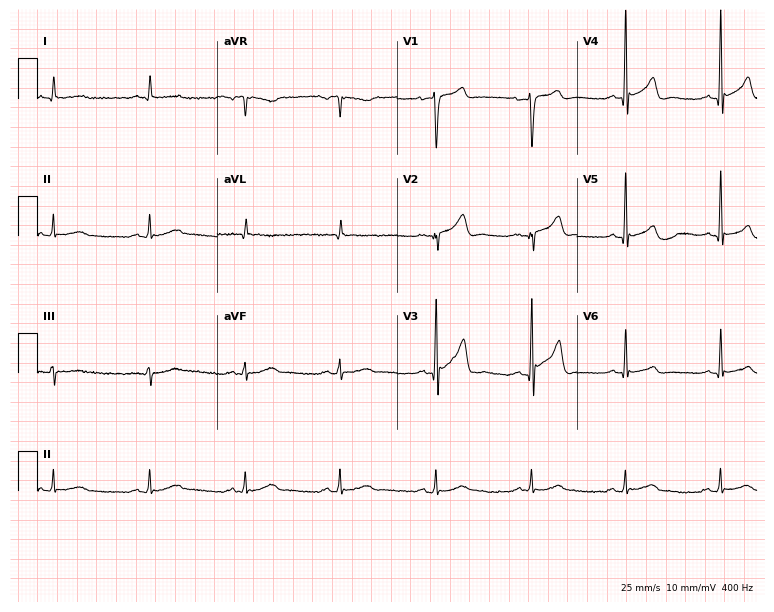
12-lead ECG (7.3-second recording at 400 Hz) from a male, 45 years old. Screened for six findings — first-degree AV block, right bundle branch block (RBBB), left bundle branch block (LBBB), sinus bradycardia, atrial fibrillation (AF), sinus tachycardia — none is recorded.